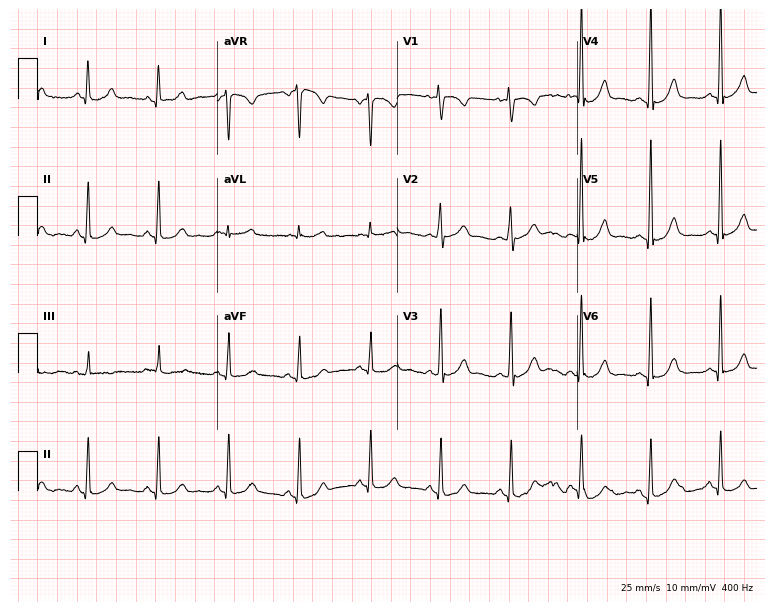
ECG — a female, 52 years old. Screened for six findings — first-degree AV block, right bundle branch block, left bundle branch block, sinus bradycardia, atrial fibrillation, sinus tachycardia — none is recorded.